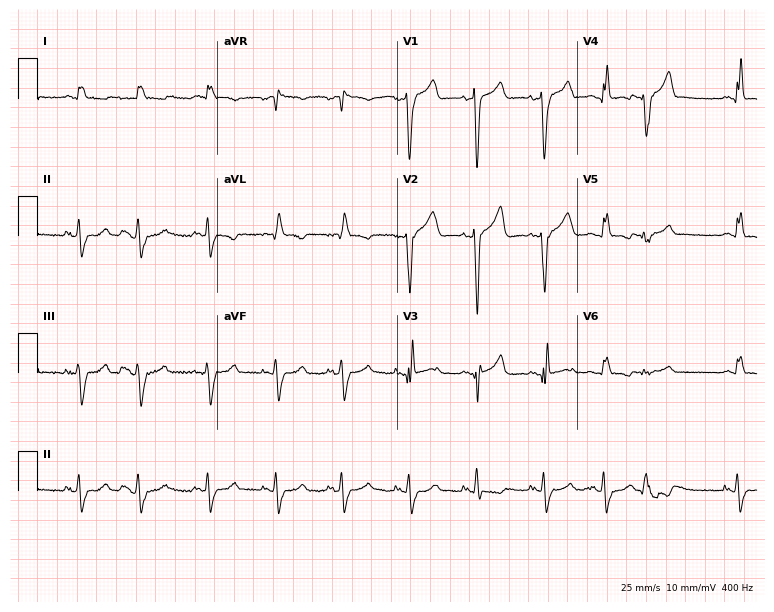
Resting 12-lead electrocardiogram (7.3-second recording at 400 Hz). Patient: an 81-year-old male. None of these six findings is recorded: first-degree AV block, right bundle branch block, left bundle branch block, sinus bradycardia, atrial fibrillation, sinus tachycardia.